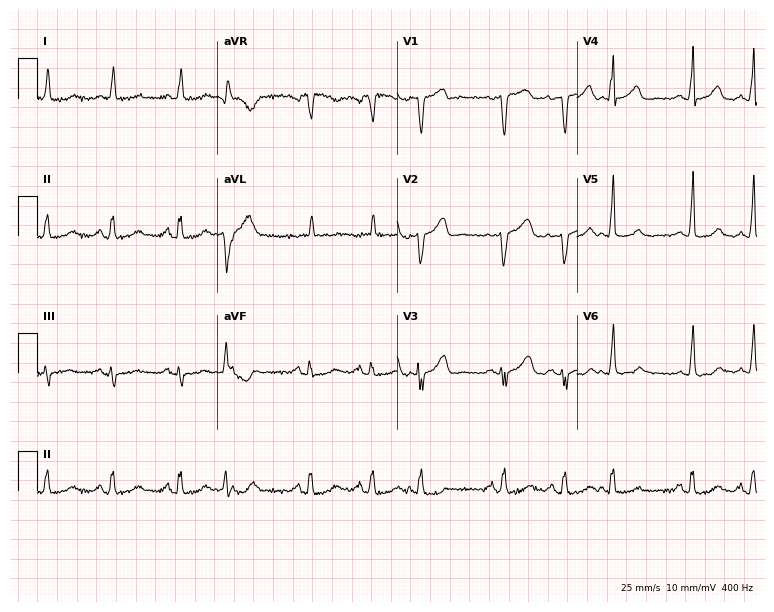
Standard 12-lead ECG recorded from an 83-year-old woman. None of these six findings is recorded: first-degree AV block, right bundle branch block, left bundle branch block, sinus bradycardia, atrial fibrillation, sinus tachycardia. Findings outside these six are not listed.